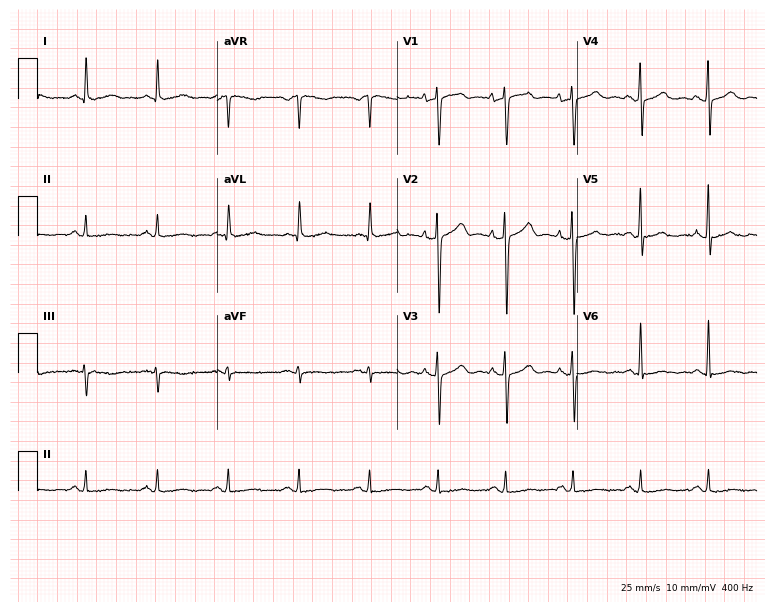
Resting 12-lead electrocardiogram. Patient: a 70-year-old man. Read as a normal ECG.